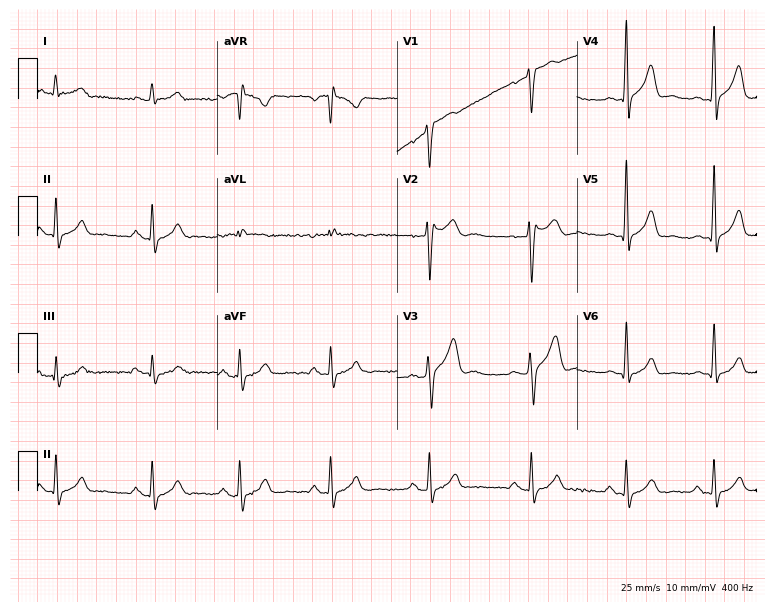
12-lead ECG (7.3-second recording at 400 Hz) from a male, 30 years old. Screened for six findings — first-degree AV block, right bundle branch block, left bundle branch block, sinus bradycardia, atrial fibrillation, sinus tachycardia — none is recorded. Findings outside these six are not listed.